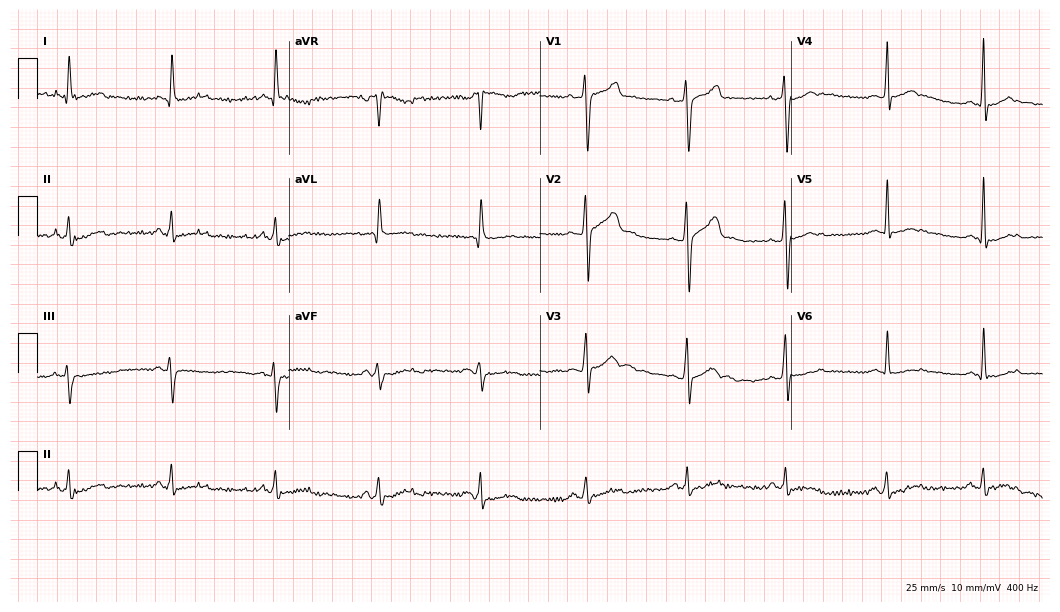
12-lead ECG from a 39-year-old male patient. Recorded interpretation: within normal limits.